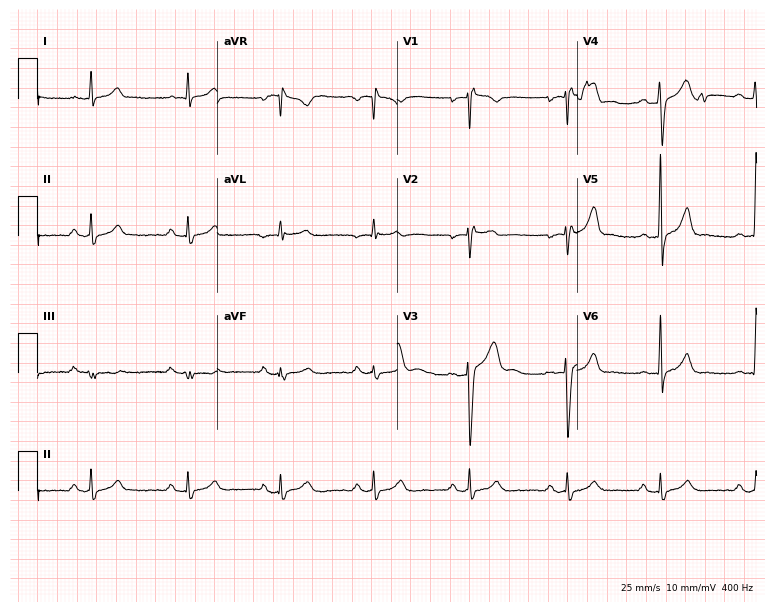
Resting 12-lead electrocardiogram. Patient: a 29-year-old male. Read as a normal ECG.